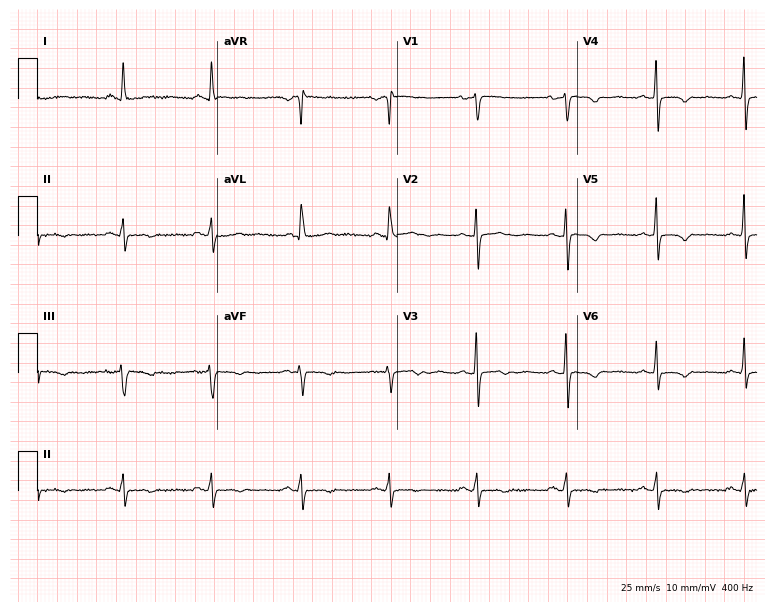
ECG — a female, 64 years old. Screened for six findings — first-degree AV block, right bundle branch block, left bundle branch block, sinus bradycardia, atrial fibrillation, sinus tachycardia — none is recorded.